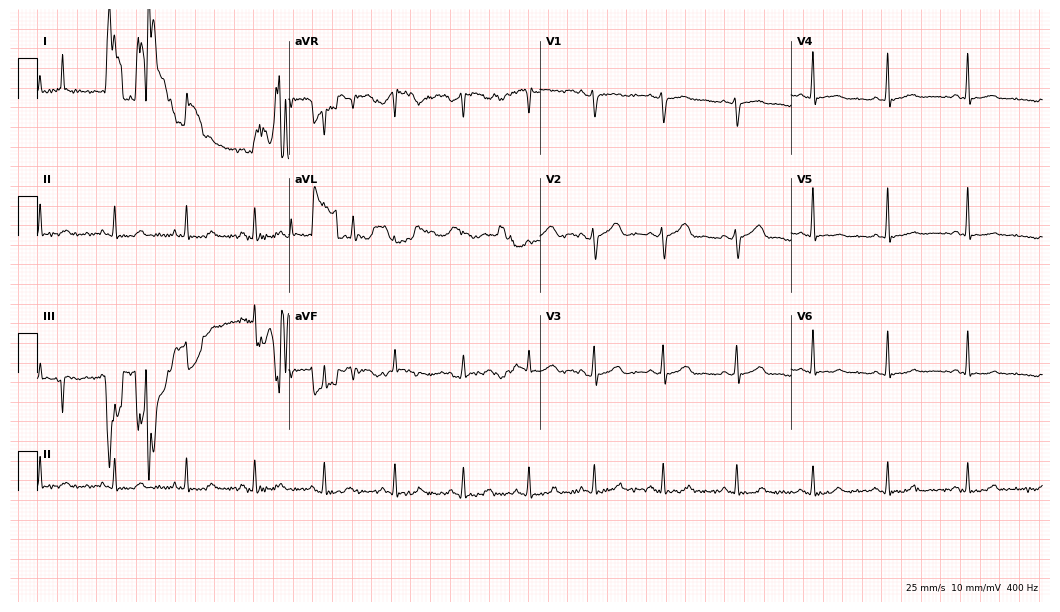
12-lead ECG from a female, 47 years old. No first-degree AV block, right bundle branch block, left bundle branch block, sinus bradycardia, atrial fibrillation or sinus tachycardia recorded for this tracing.